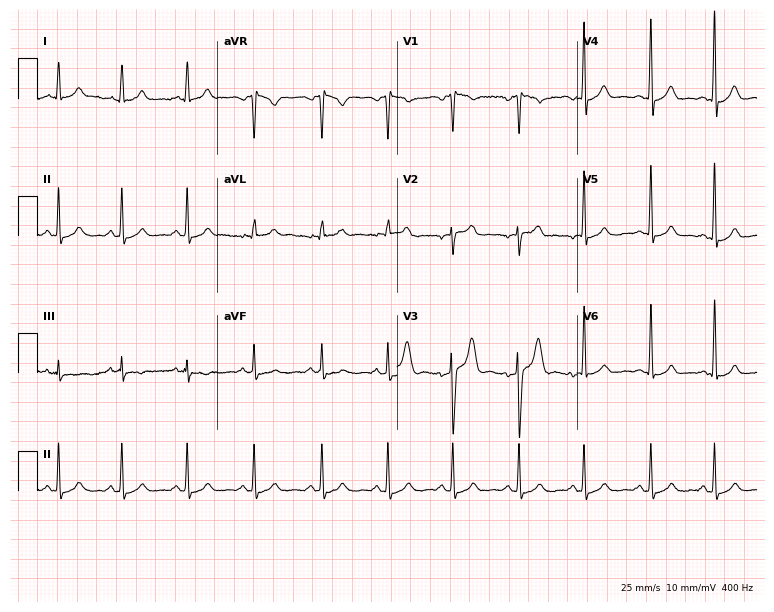
12-lead ECG (7.3-second recording at 400 Hz) from a man, 43 years old. Labelled as a normal ECG.